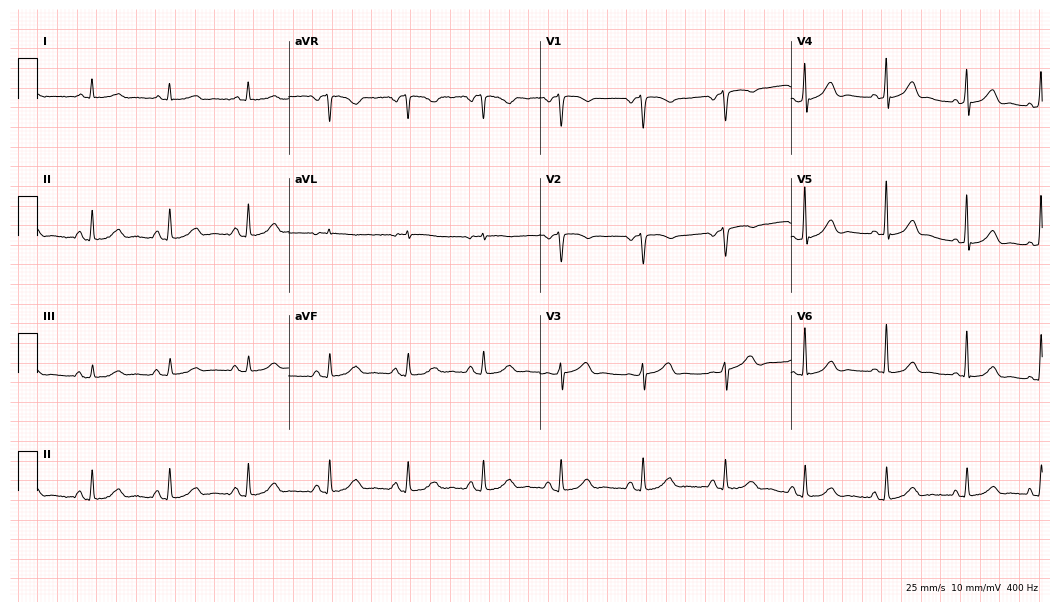
12-lead ECG from a 66-year-old female patient. Recorded interpretation: within normal limits.